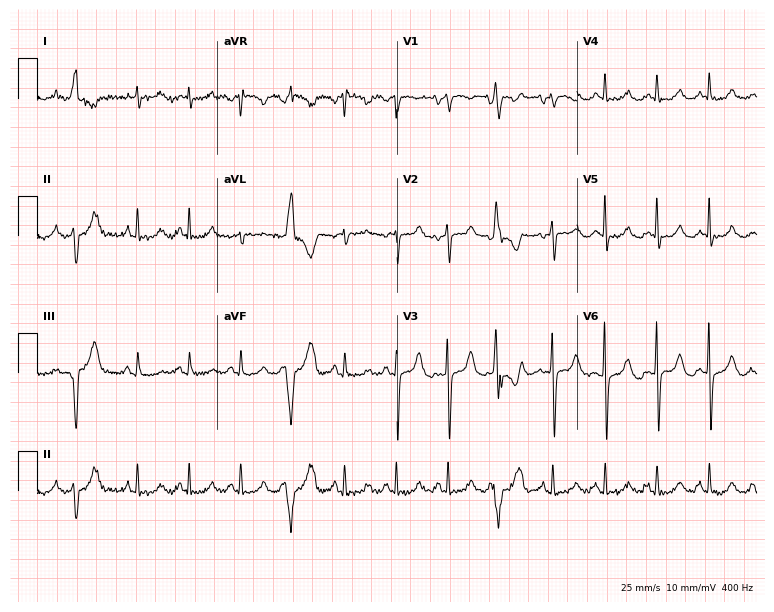
Standard 12-lead ECG recorded from a 71-year-old man (7.3-second recording at 400 Hz). The tracing shows sinus tachycardia (a sinus rate of 100 beats per minute or more).